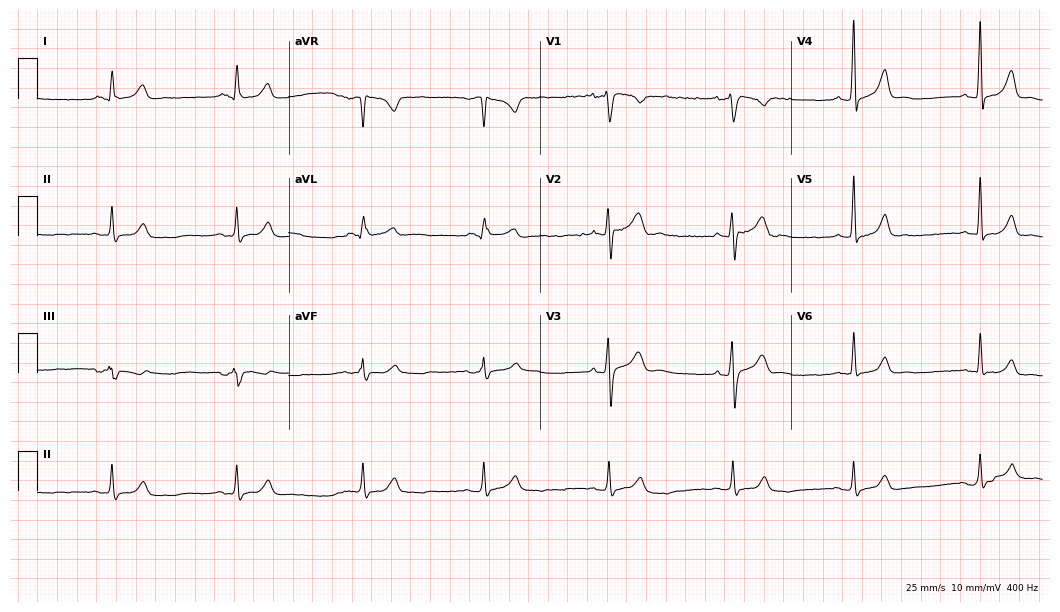
Resting 12-lead electrocardiogram. Patient: a man, 45 years old. The tracing shows sinus bradycardia (a sinus rate of 50 beats per minute or less).